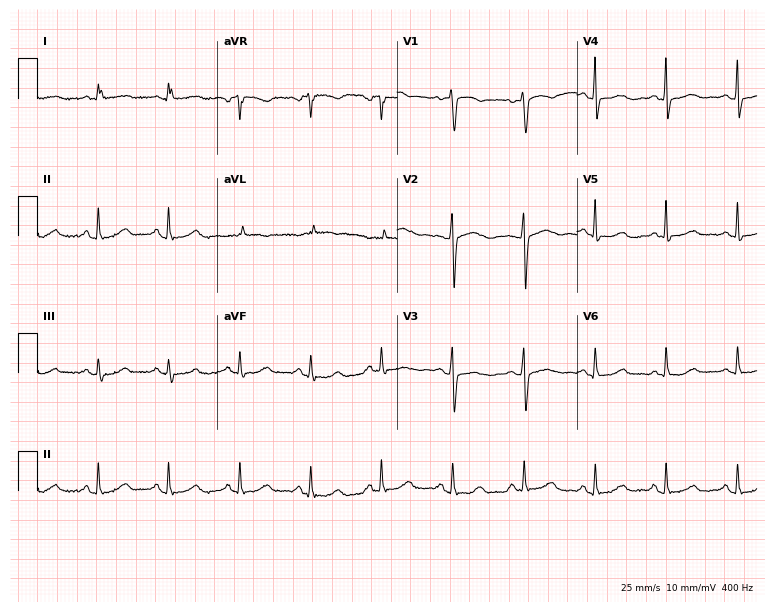
ECG — a 69-year-old woman. Labelled as a normal ECG.